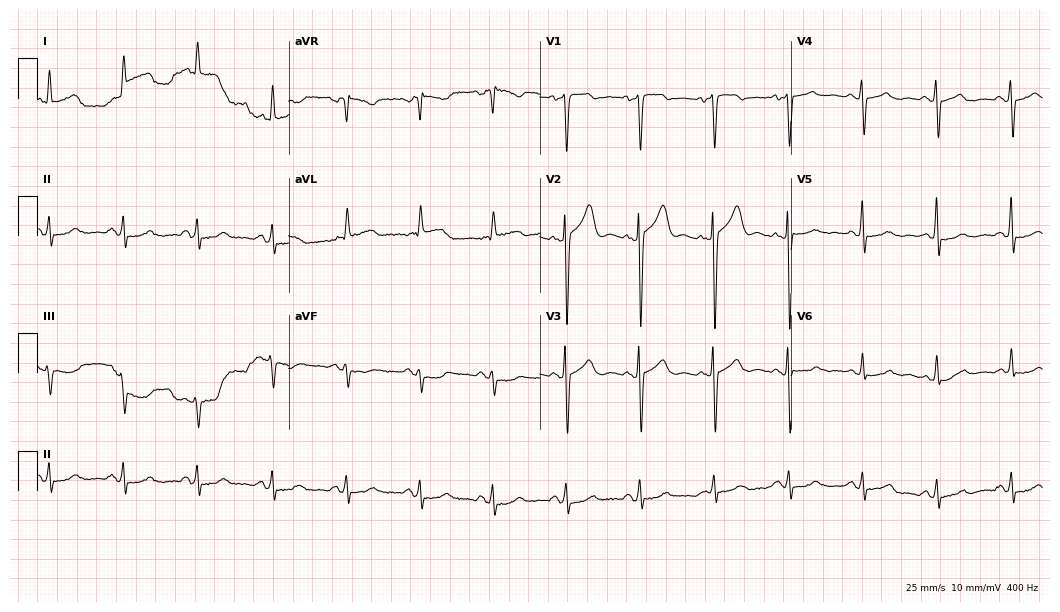
ECG — a 64-year-old male patient. Screened for six findings — first-degree AV block, right bundle branch block (RBBB), left bundle branch block (LBBB), sinus bradycardia, atrial fibrillation (AF), sinus tachycardia — none is recorded. Only these six findings were labelled.